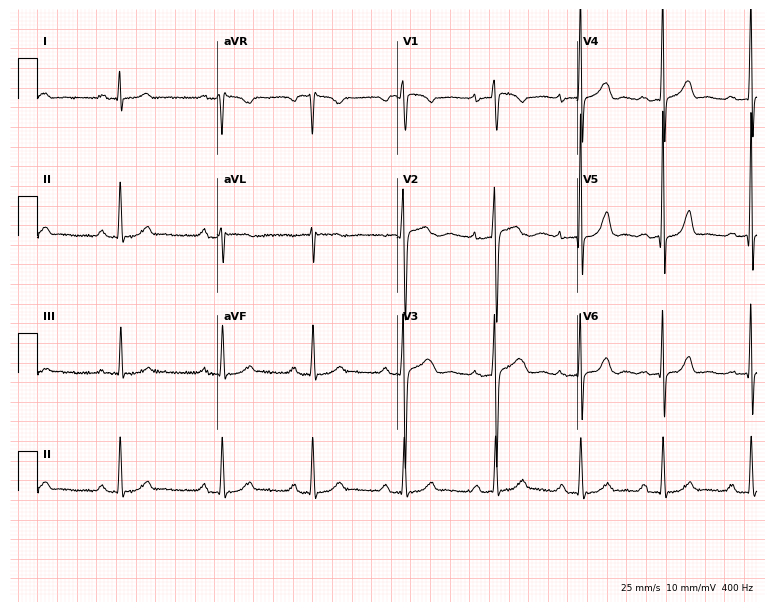
12-lead ECG (7.3-second recording at 400 Hz) from a 23-year-old female patient. Screened for six findings — first-degree AV block, right bundle branch block (RBBB), left bundle branch block (LBBB), sinus bradycardia, atrial fibrillation (AF), sinus tachycardia — none is recorded.